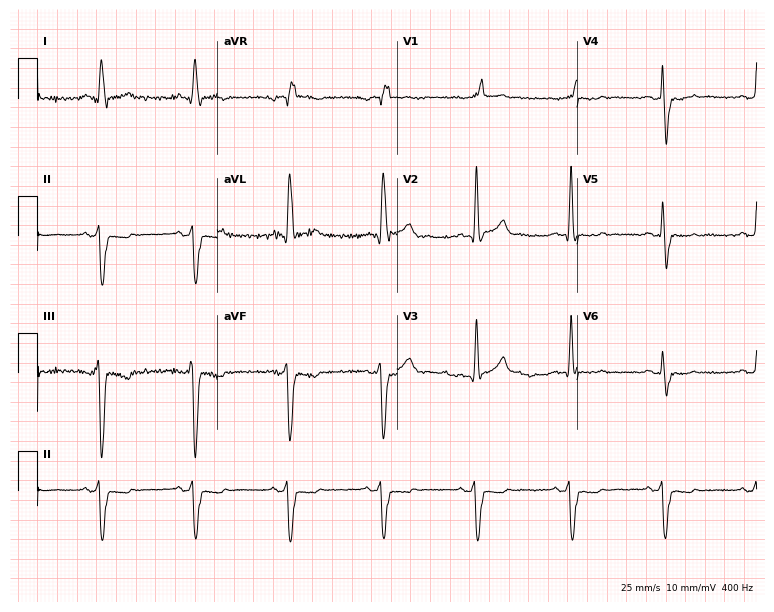
12-lead ECG from a 64-year-old male patient. Screened for six findings — first-degree AV block, right bundle branch block, left bundle branch block, sinus bradycardia, atrial fibrillation, sinus tachycardia — none is recorded.